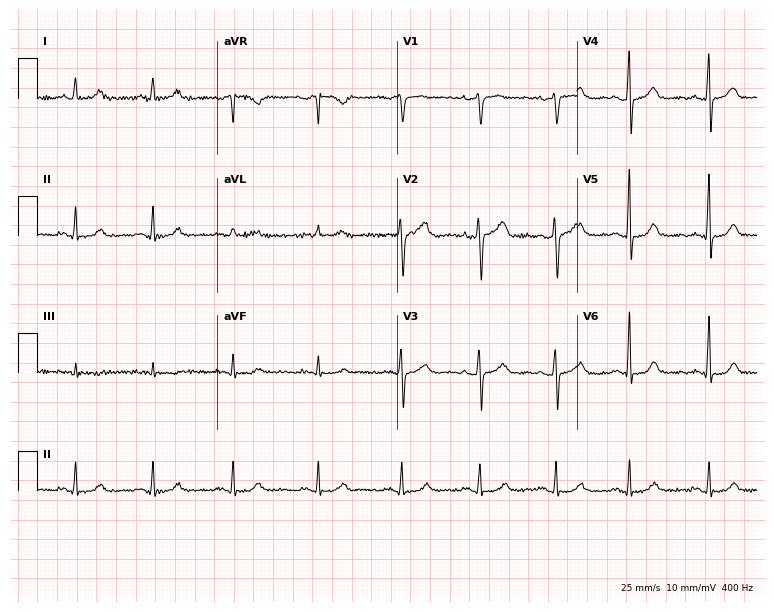
Standard 12-lead ECG recorded from a female, 57 years old (7.3-second recording at 400 Hz). Read as a normal ECG.